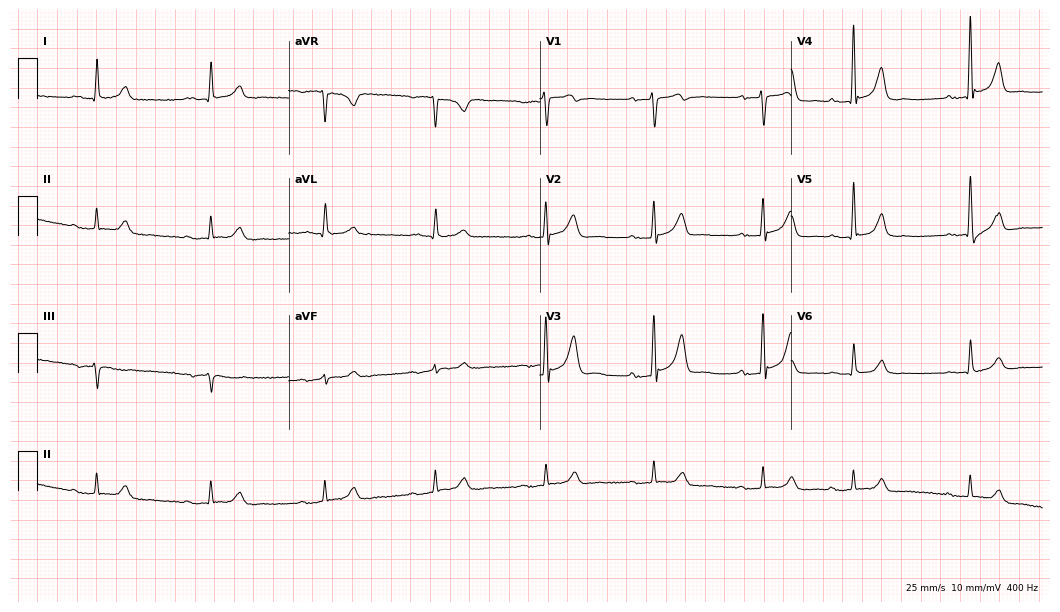
Resting 12-lead electrocardiogram. Patient: a 69-year-old man. None of these six findings is recorded: first-degree AV block, right bundle branch block, left bundle branch block, sinus bradycardia, atrial fibrillation, sinus tachycardia. Other findings, if any, are not listed.